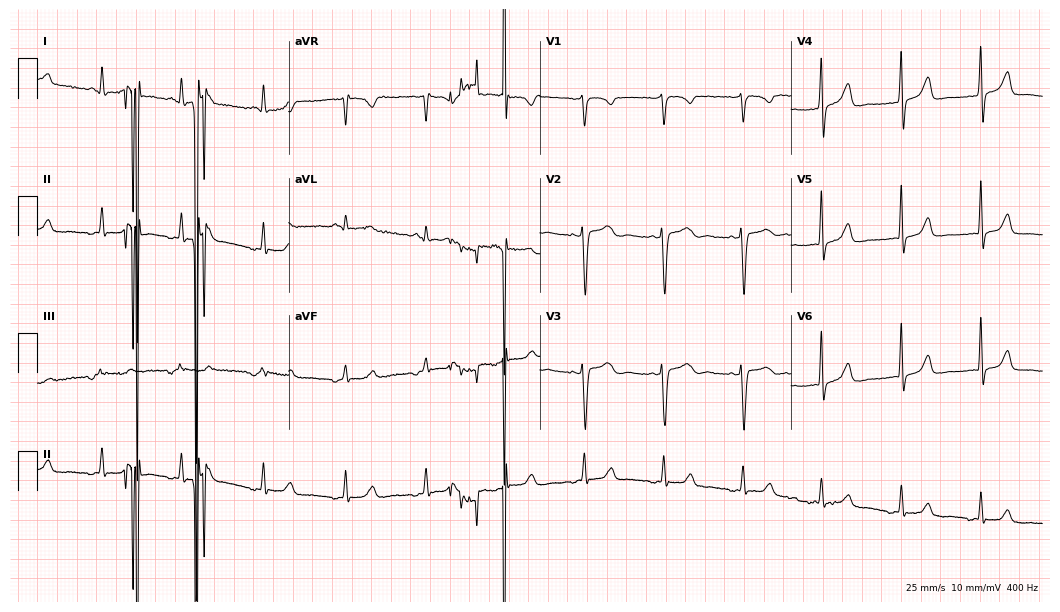
ECG — a female, 36 years old. Screened for six findings — first-degree AV block, right bundle branch block (RBBB), left bundle branch block (LBBB), sinus bradycardia, atrial fibrillation (AF), sinus tachycardia — none is recorded.